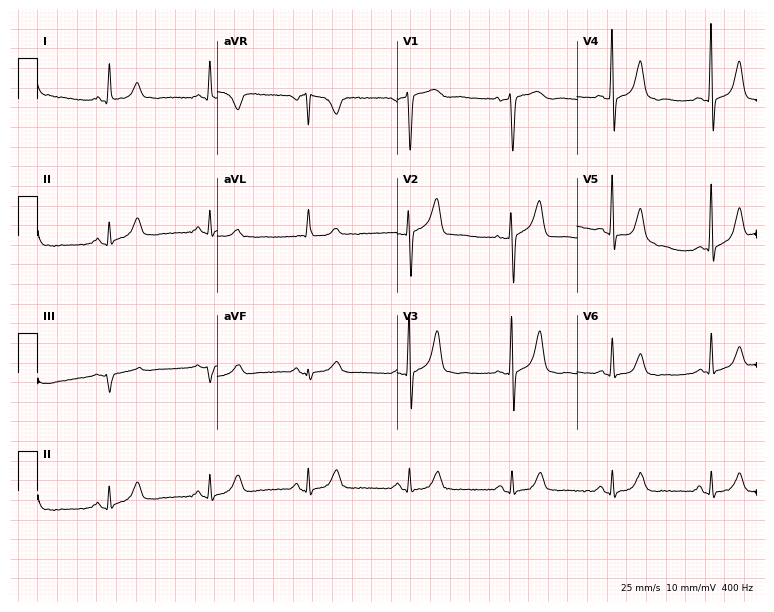
Electrocardiogram, a 72-year-old female. Of the six screened findings (first-degree AV block, right bundle branch block, left bundle branch block, sinus bradycardia, atrial fibrillation, sinus tachycardia), none is recorded. Findings outside these six are not listed.